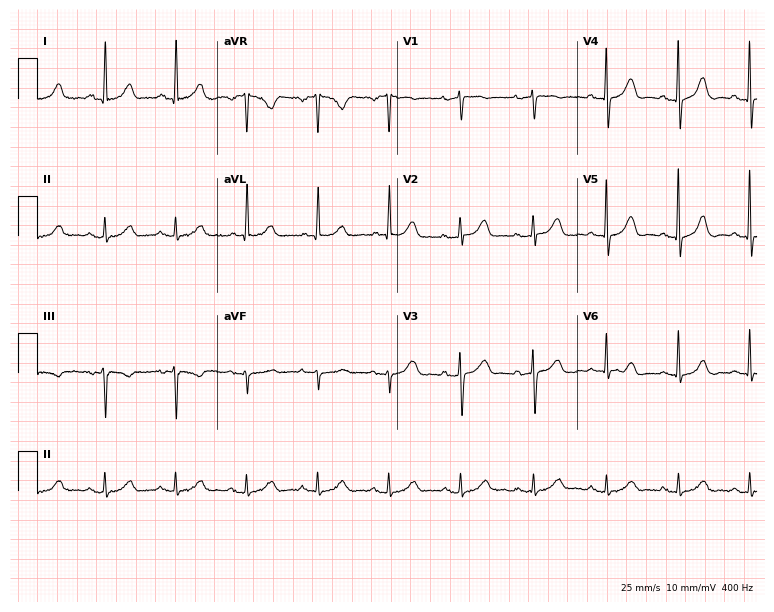
Resting 12-lead electrocardiogram. Patient: a 74-year-old female. Read as a normal ECG.